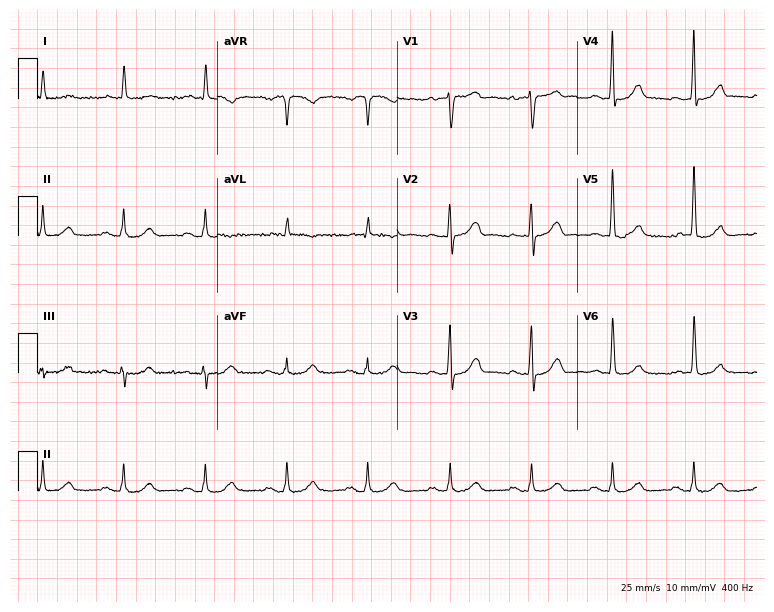
12-lead ECG from a man, 64 years old. Labelled as a normal ECG.